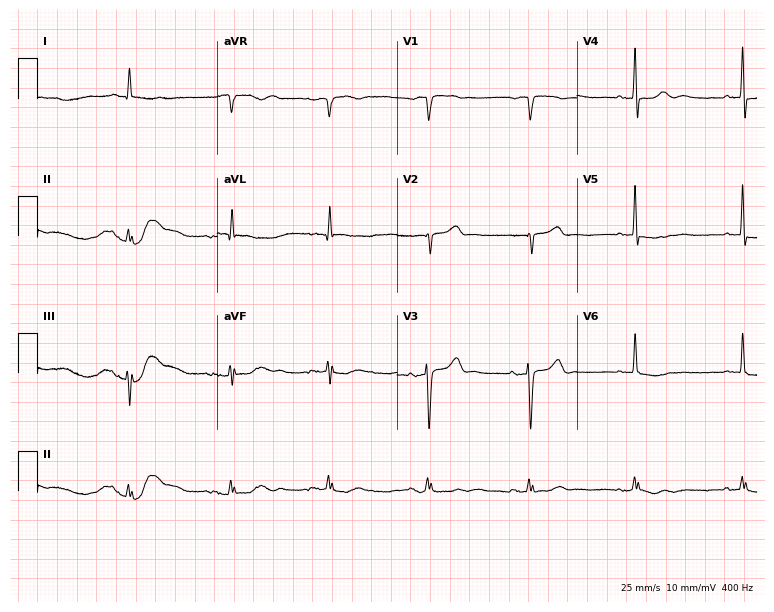
12-lead ECG from an 81-year-old male patient (7.3-second recording at 400 Hz). No first-degree AV block, right bundle branch block, left bundle branch block, sinus bradycardia, atrial fibrillation or sinus tachycardia recorded for this tracing. Other findings, if any, are not listed.